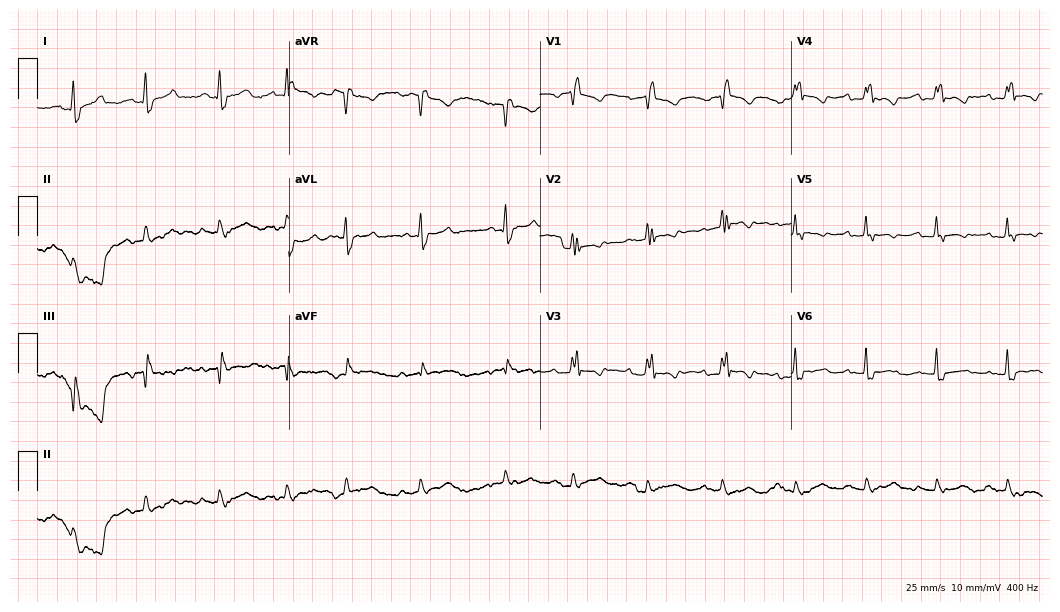
Standard 12-lead ECG recorded from an 88-year-old woman. None of these six findings is recorded: first-degree AV block, right bundle branch block (RBBB), left bundle branch block (LBBB), sinus bradycardia, atrial fibrillation (AF), sinus tachycardia. Other findings, if any, are not listed.